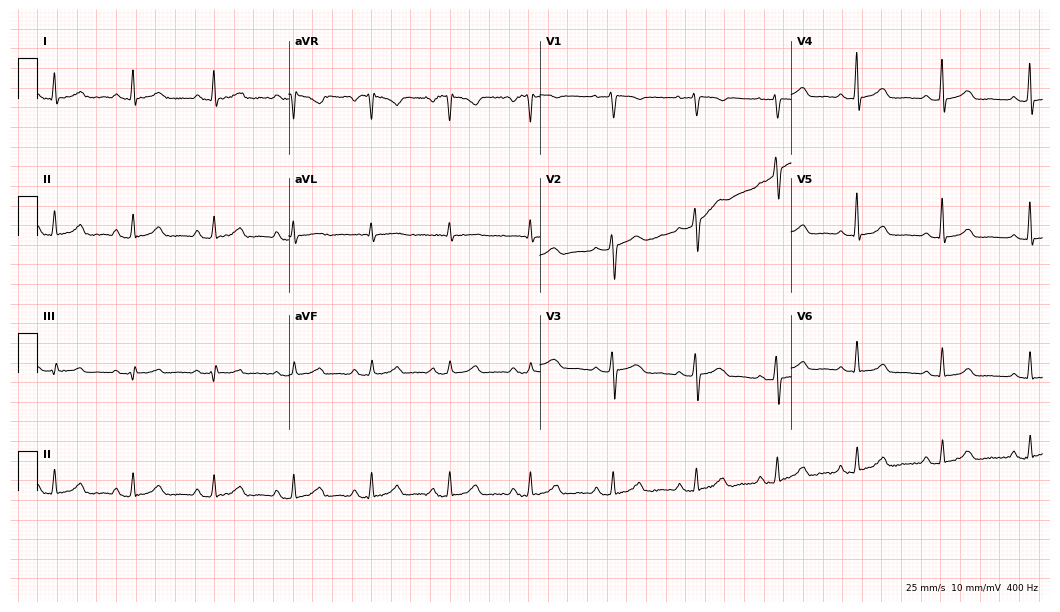
ECG — a 39-year-old female patient. Labelled as a normal ECG.